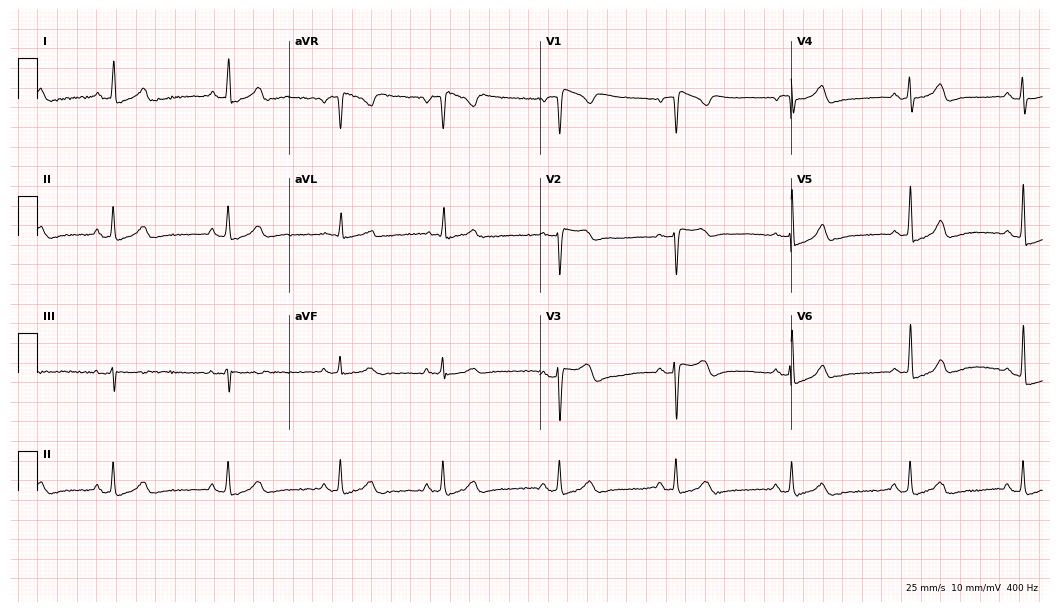
Standard 12-lead ECG recorded from a 69-year-old woman. None of these six findings is recorded: first-degree AV block, right bundle branch block (RBBB), left bundle branch block (LBBB), sinus bradycardia, atrial fibrillation (AF), sinus tachycardia. Only these six findings were labelled.